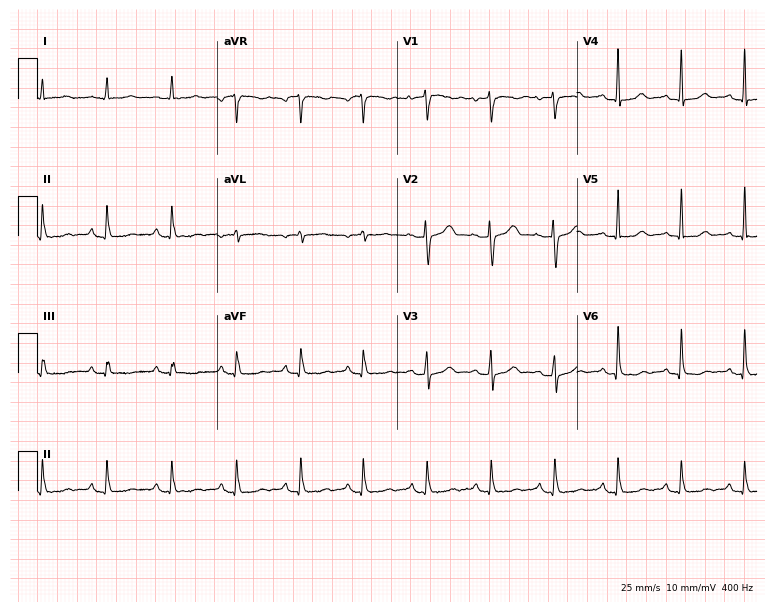
12-lead ECG from a 61-year-old female patient. No first-degree AV block, right bundle branch block, left bundle branch block, sinus bradycardia, atrial fibrillation or sinus tachycardia recorded for this tracing.